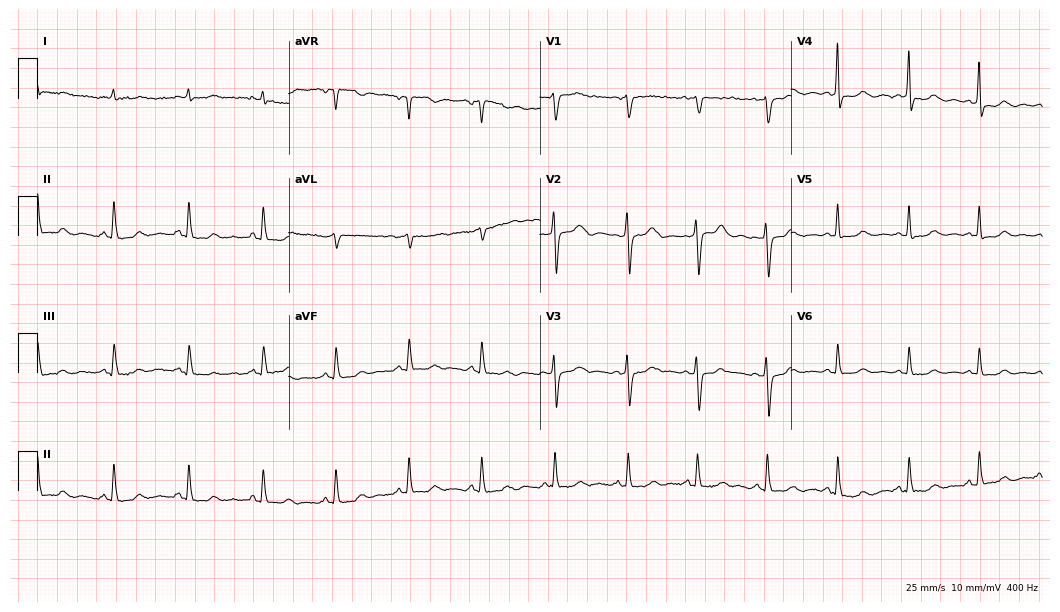
12-lead ECG from a 73-year-old woman. Screened for six findings — first-degree AV block, right bundle branch block, left bundle branch block, sinus bradycardia, atrial fibrillation, sinus tachycardia — none is recorded.